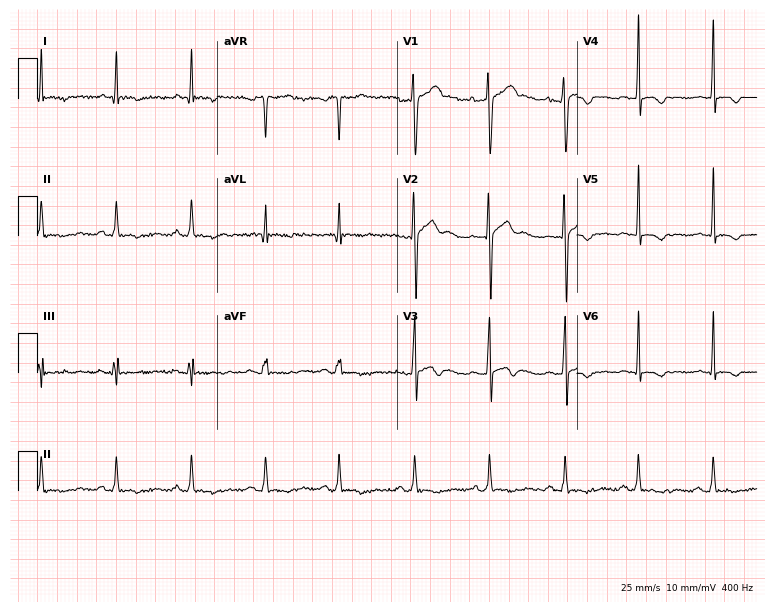
ECG (7.3-second recording at 400 Hz) — a man, 27 years old. Screened for six findings — first-degree AV block, right bundle branch block, left bundle branch block, sinus bradycardia, atrial fibrillation, sinus tachycardia — none is recorded.